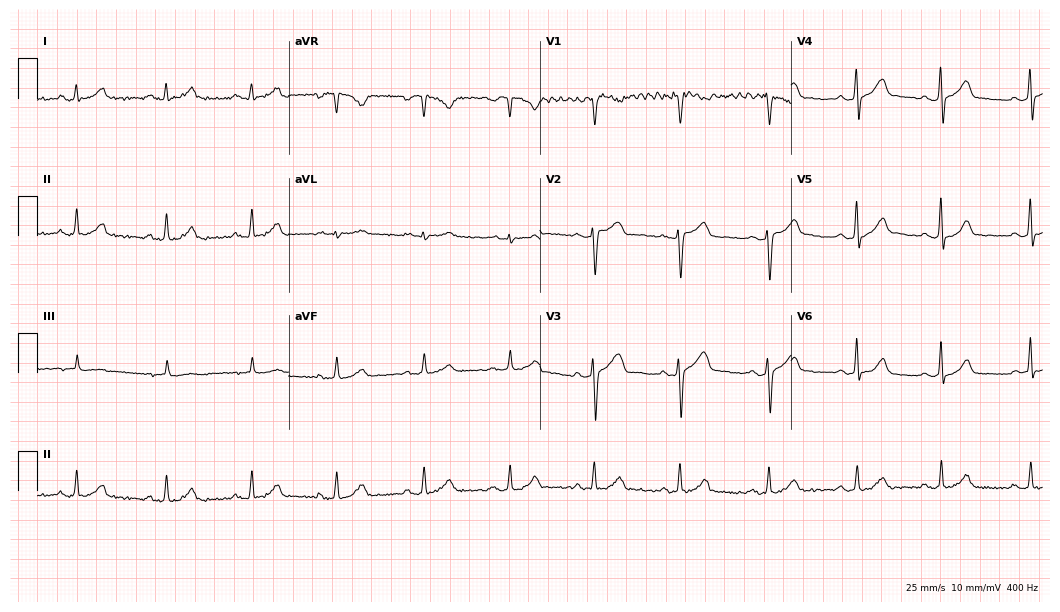
Resting 12-lead electrocardiogram. Patient: a 30-year-old male. Read as a normal ECG.